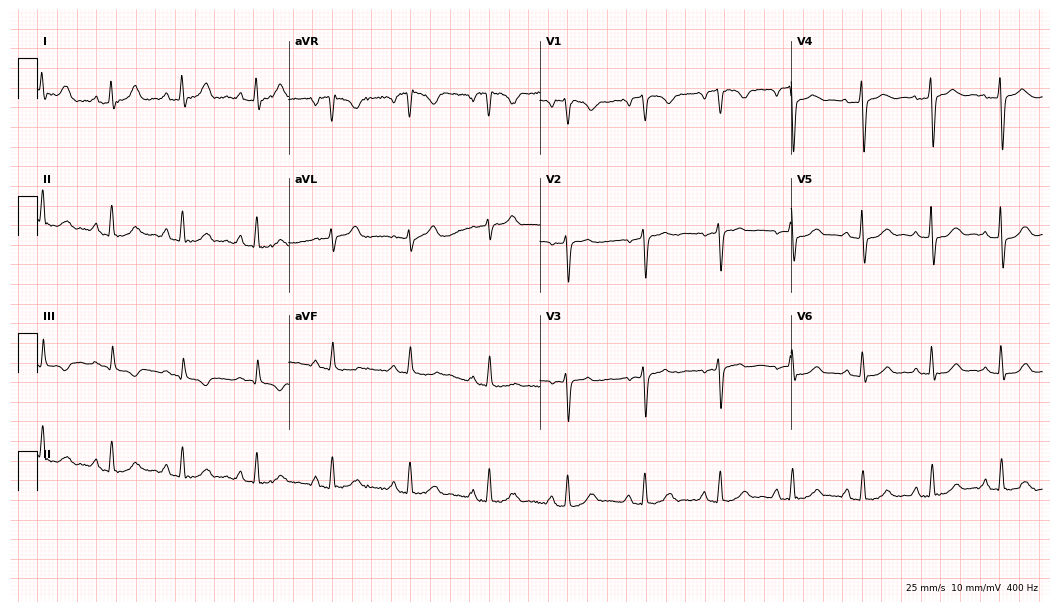
12-lead ECG from a 41-year-old woman (10.2-second recording at 400 Hz). Recorded interpretation: within normal limits.